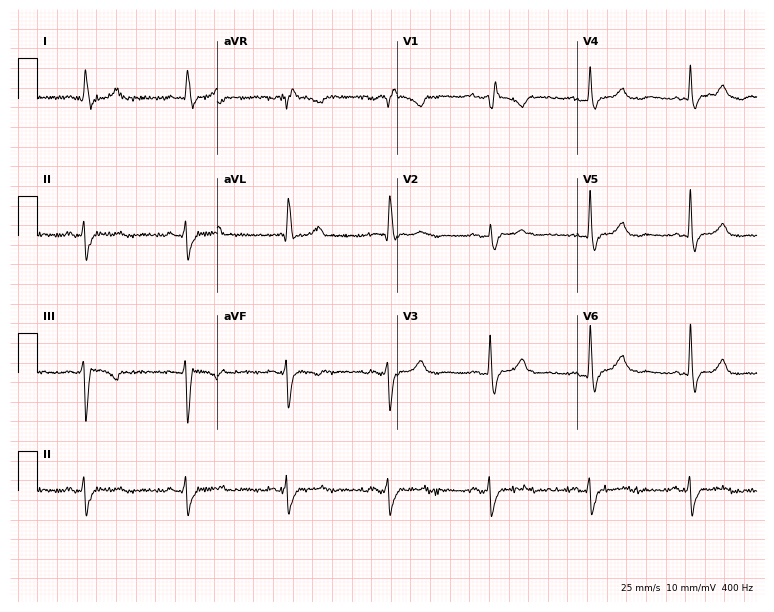
12-lead ECG from a 57-year-old female. Shows right bundle branch block (RBBB).